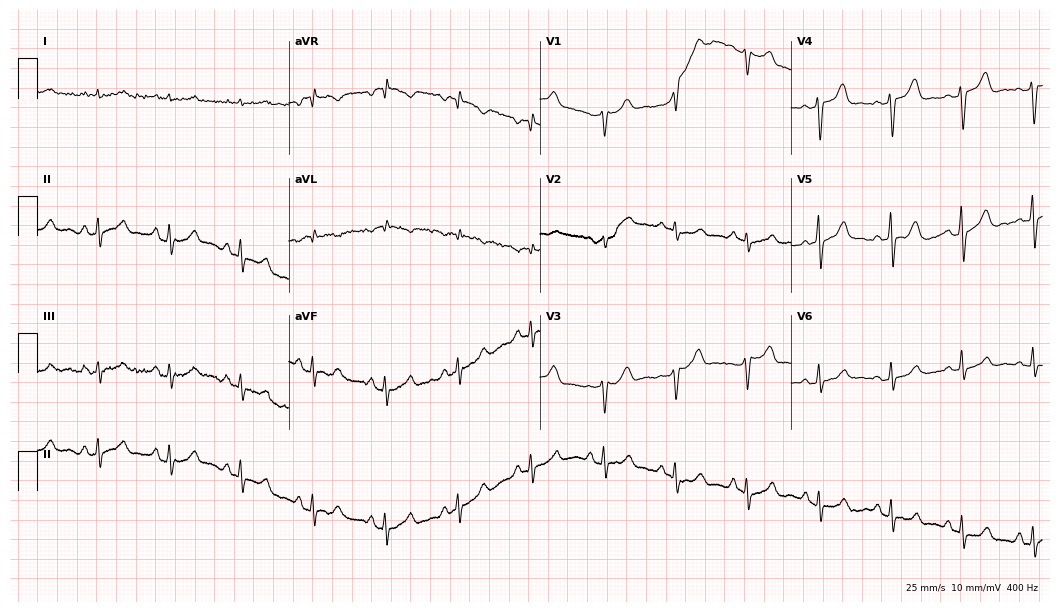
ECG — a male patient, 82 years old. Screened for six findings — first-degree AV block, right bundle branch block, left bundle branch block, sinus bradycardia, atrial fibrillation, sinus tachycardia — none is recorded.